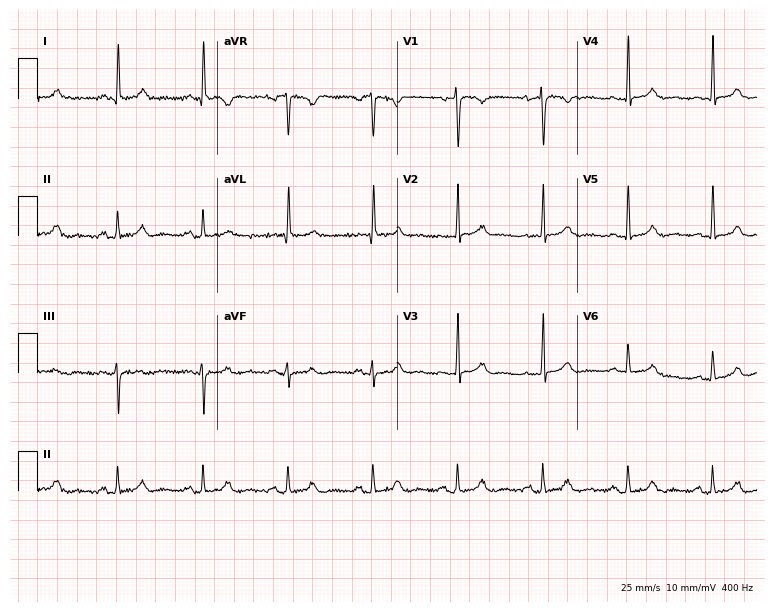
ECG — a 51-year-old female. Labelled as a normal ECG.